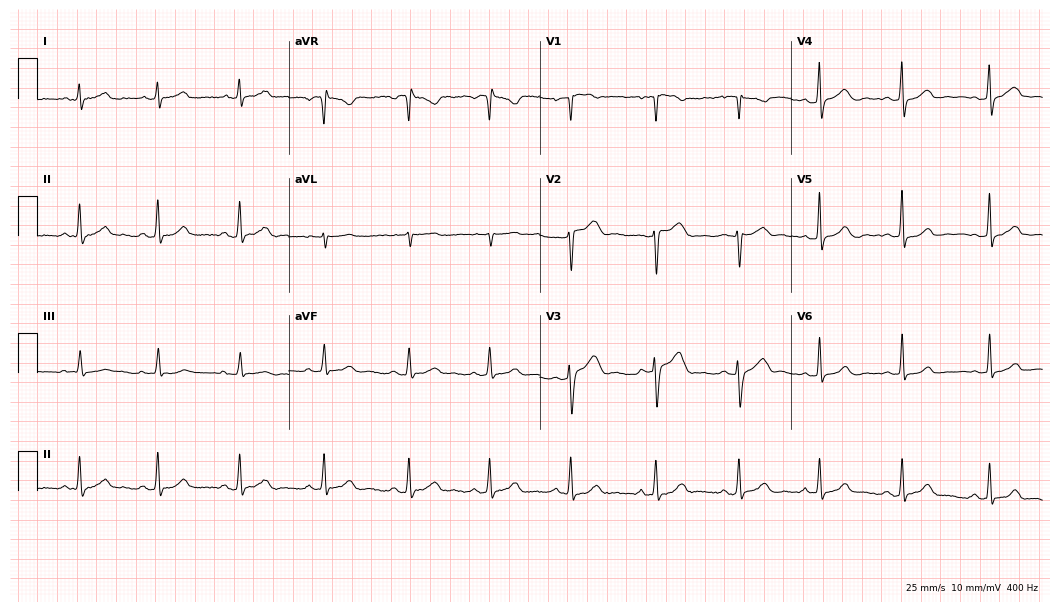
Standard 12-lead ECG recorded from a woman, 29 years old (10.2-second recording at 400 Hz). None of these six findings is recorded: first-degree AV block, right bundle branch block, left bundle branch block, sinus bradycardia, atrial fibrillation, sinus tachycardia.